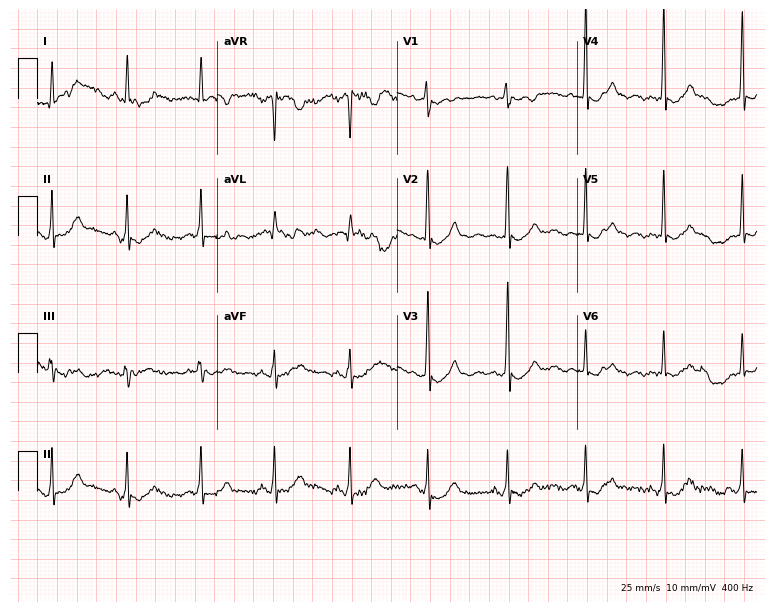
ECG — a female, 65 years old. Screened for six findings — first-degree AV block, right bundle branch block, left bundle branch block, sinus bradycardia, atrial fibrillation, sinus tachycardia — none is recorded. Findings outside these six are not listed.